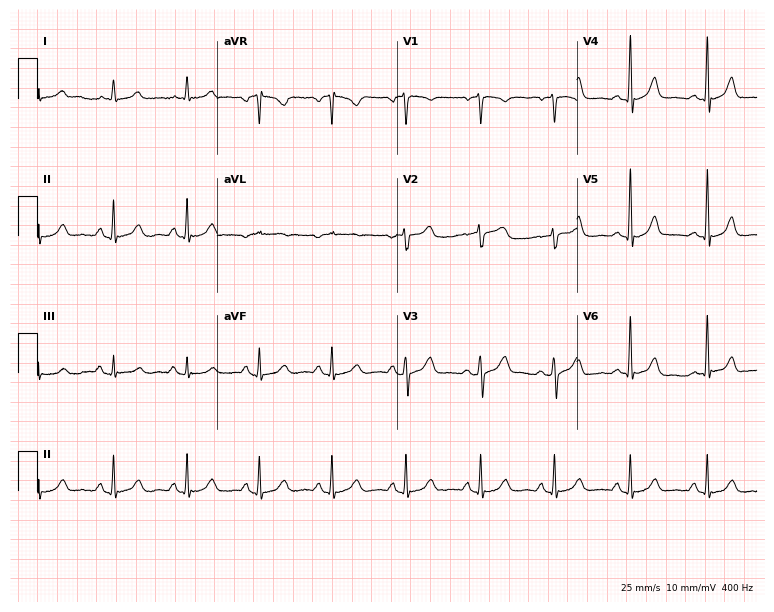
Standard 12-lead ECG recorded from a female, 55 years old. Read as a normal ECG.